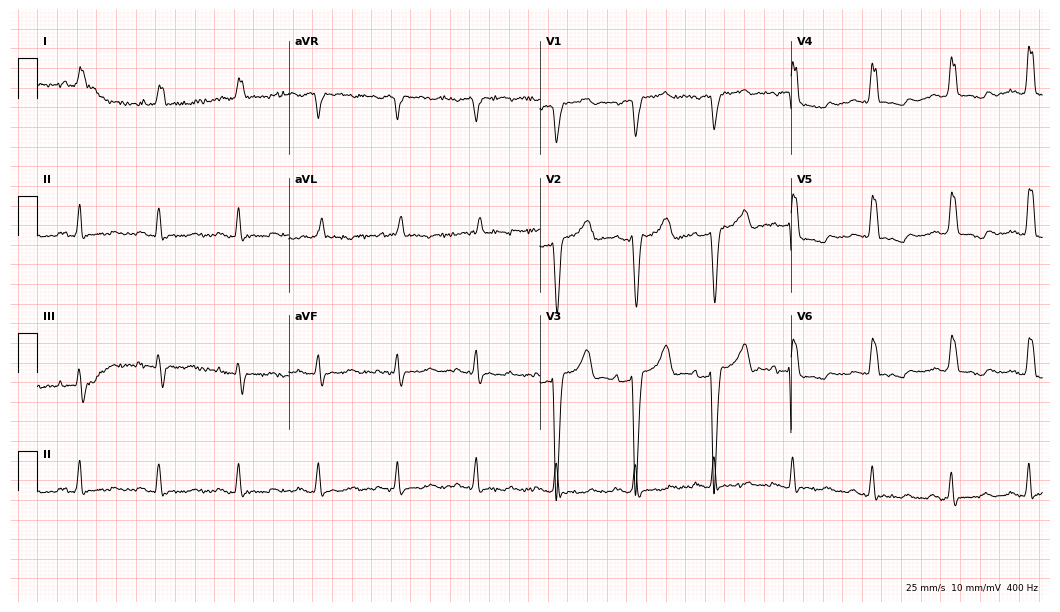
Standard 12-lead ECG recorded from a 77-year-old female. The tracing shows left bundle branch block.